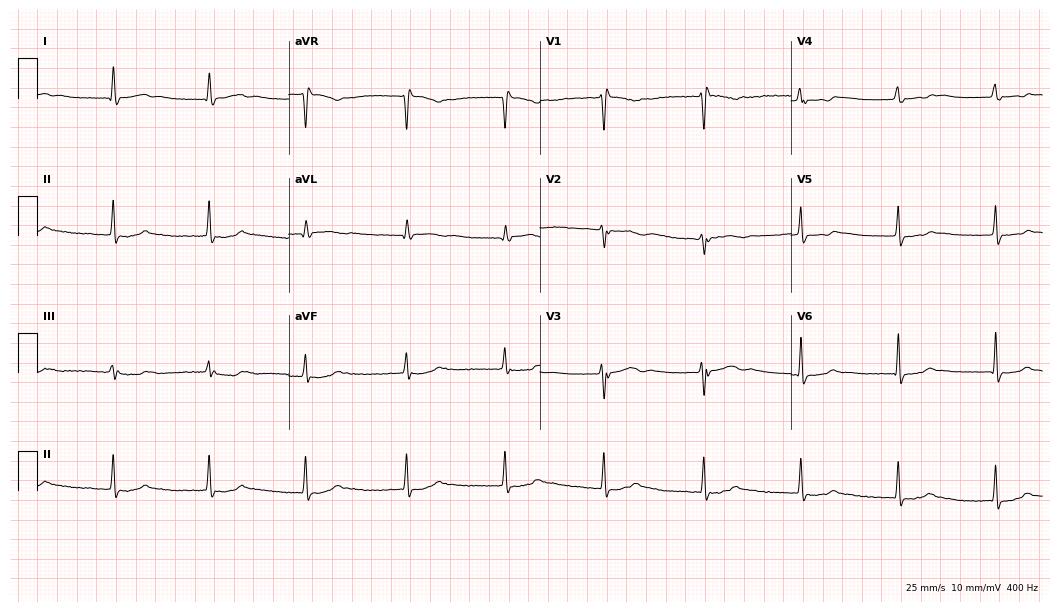
12-lead ECG (10.2-second recording at 400 Hz) from a female patient, 25 years old. Screened for six findings — first-degree AV block, right bundle branch block, left bundle branch block, sinus bradycardia, atrial fibrillation, sinus tachycardia — none is recorded. Only these six findings were labelled.